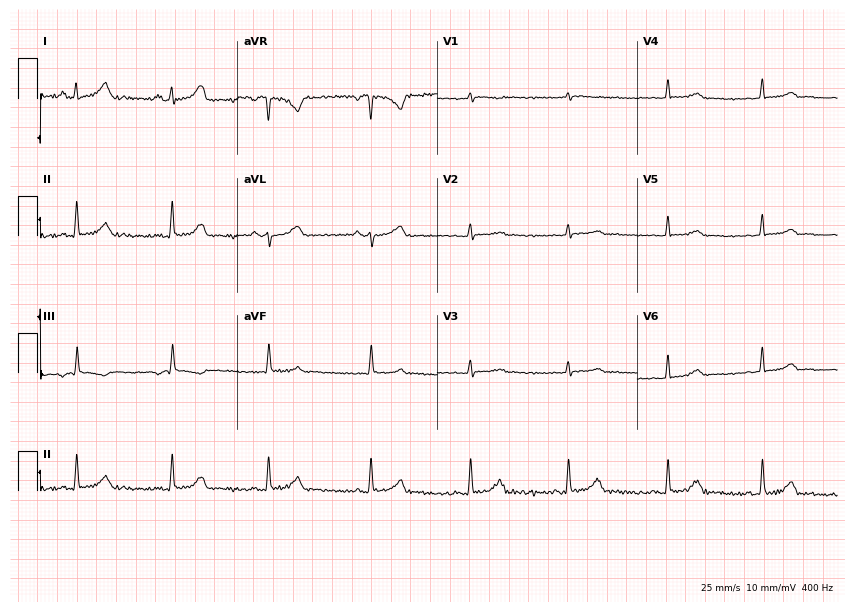
Electrocardiogram, a female, 22 years old. Of the six screened findings (first-degree AV block, right bundle branch block, left bundle branch block, sinus bradycardia, atrial fibrillation, sinus tachycardia), none is recorded.